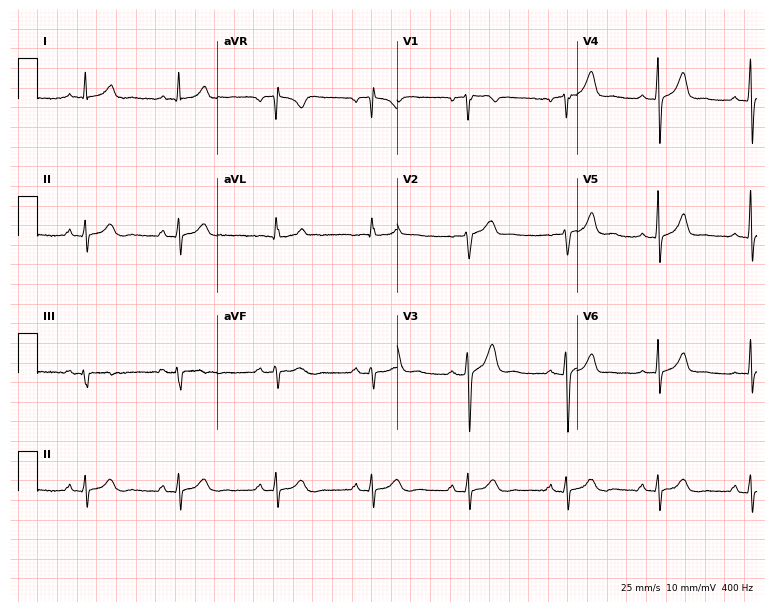
12-lead ECG (7.3-second recording at 400 Hz) from a 48-year-old man. Screened for six findings — first-degree AV block, right bundle branch block, left bundle branch block, sinus bradycardia, atrial fibrillation, sinus tachycardia — none is recorded.